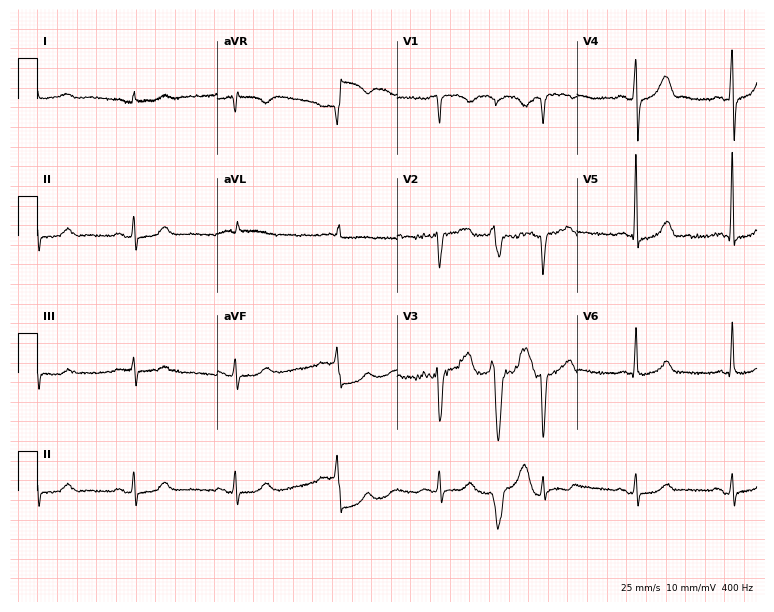
12-lead ECG from a 74-year-old male (7.3-second recording at 400 Hz). No first-degree AV block, right bundle branch block (RBBB), left bundle branch block (LBBB), sinus bradycardia, atrial fibrillation (AF) or sinus tachycardia recorded for this tracing.